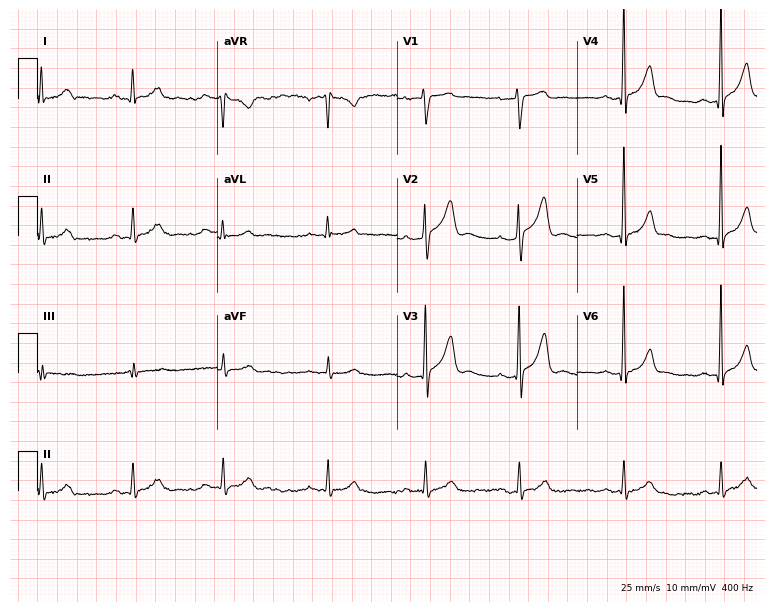
Electrocardiogram (7.3-second recording at 400 Hz), a male patient, 31 years old. Overall reading on record: normal ECG.